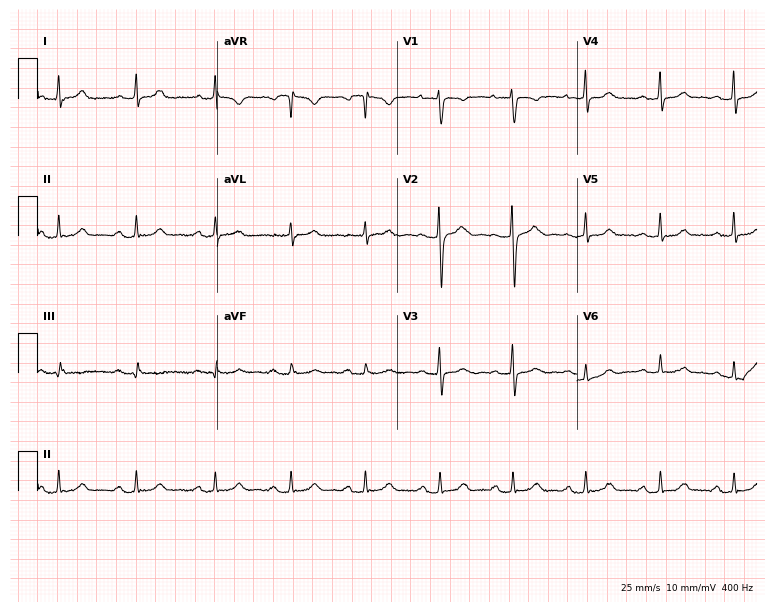
12-lead ECG from a 24-year-old woman. Recorded interpretation: within normal limits.